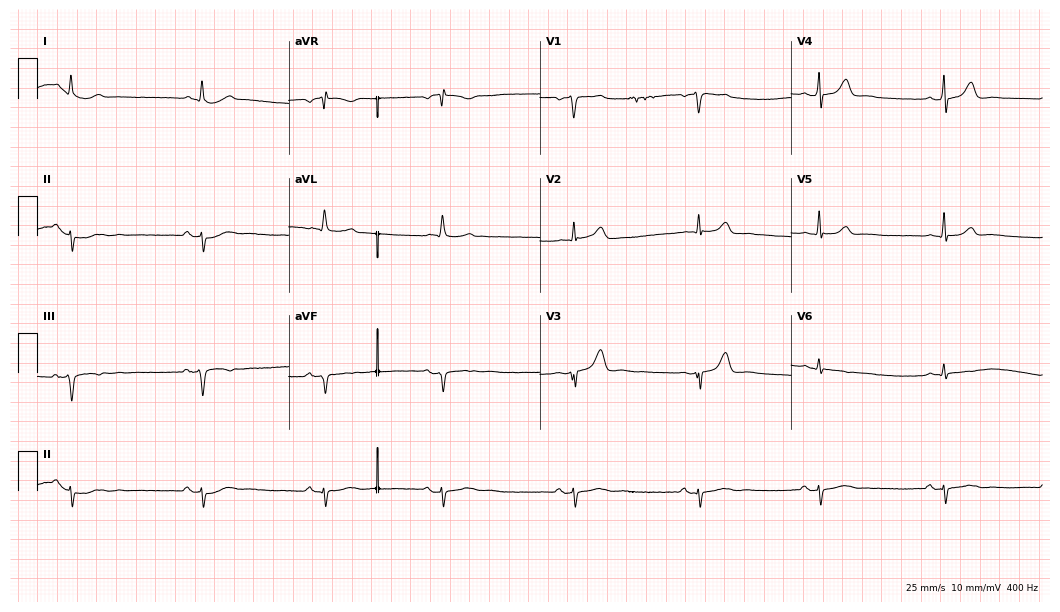
Standard 12-lead ECG recorded from a female patient, 56 years old (10.2-second recording at 400 Hz). The tracing shows sinus bradycardia (a sinus rate of 50 beats per minute or less).